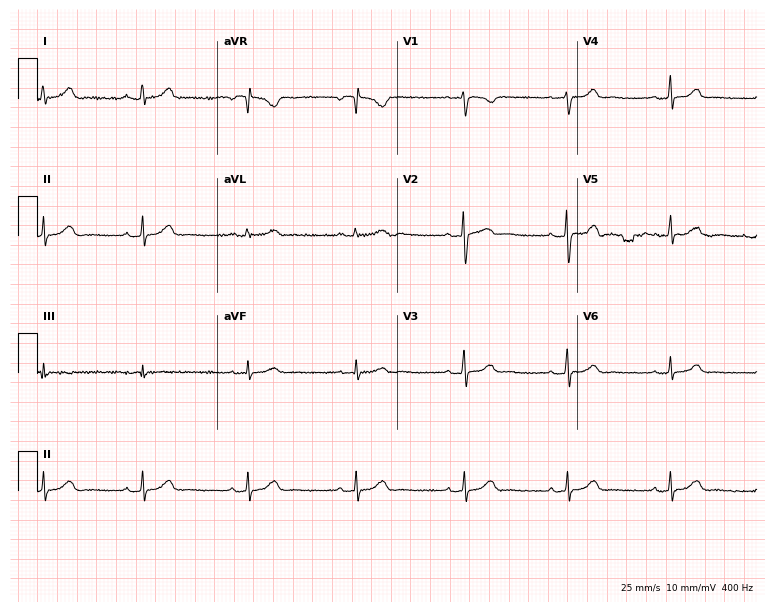
Resting 12-lead electrocardiogram (7.3-second recording at 400 Hz). Patient: a 35-year-old female. Read as a normal ECG.